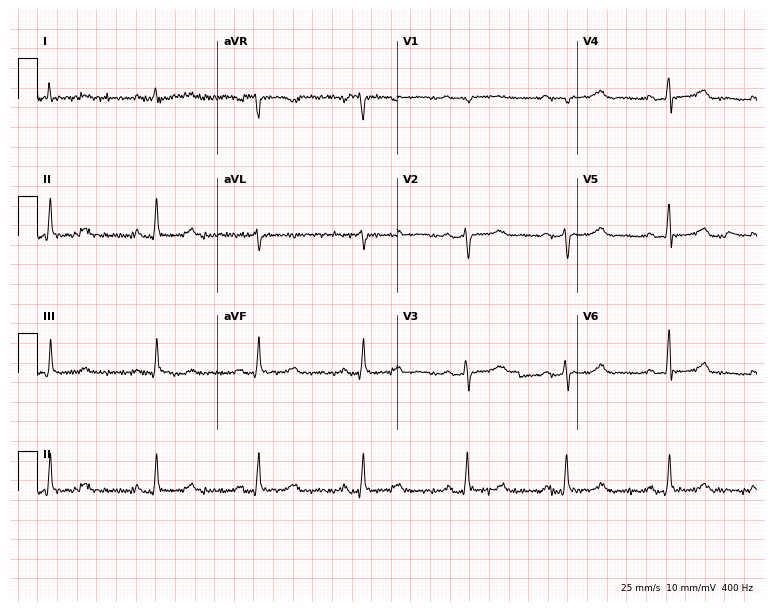
Electrocardiogram, a 56-year-old female. Overall reading on record: normal ECG.